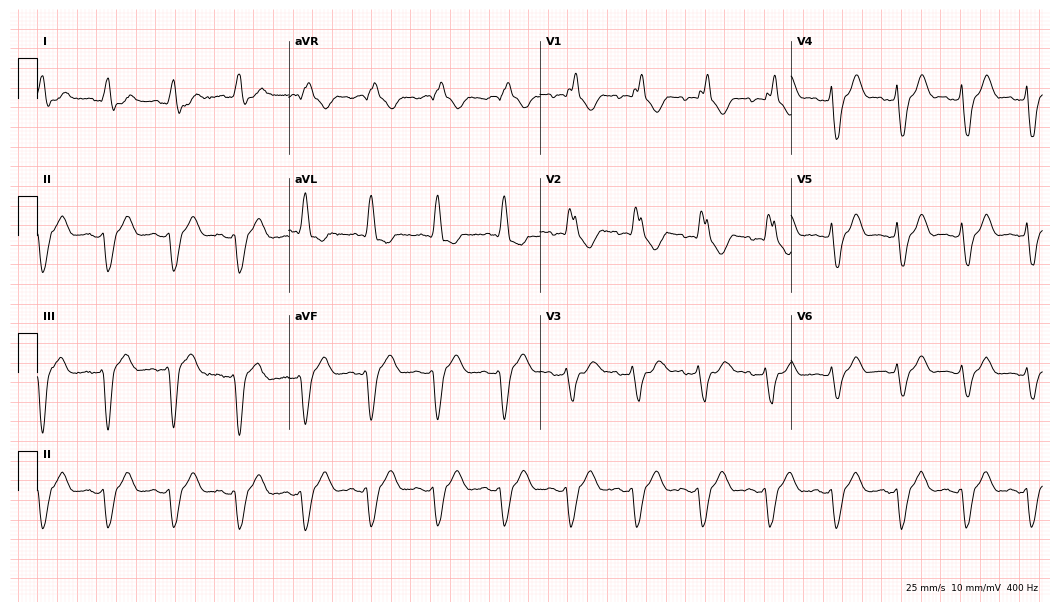
ECG (10.2-second recording at 400 Hz) — a man, 52 years old. Screened for six findings — first-degree AV block, right bundle branch block, left bundle branch block, sinus bradycardia, atrial fibrillation, sinus tachycardia — none is recorded.